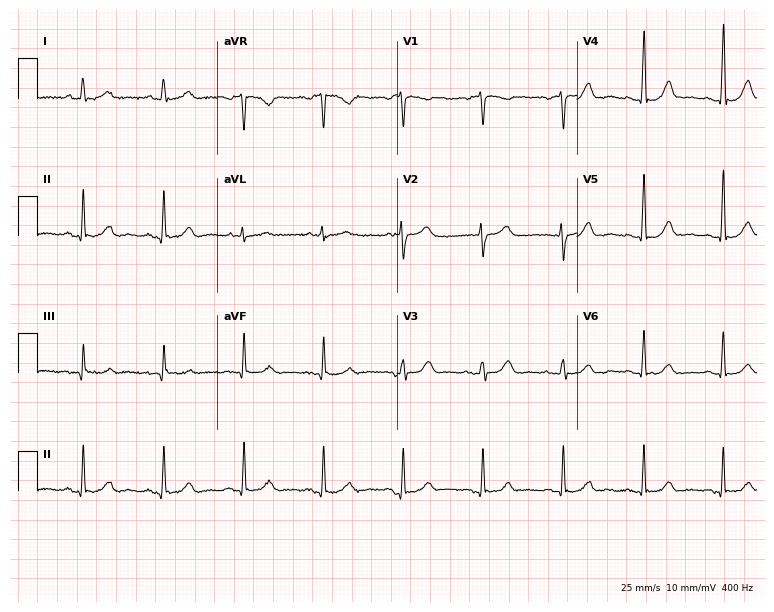
12-lead ECG from a woman, 48 years old. Recorded interpretation: within normal limits.